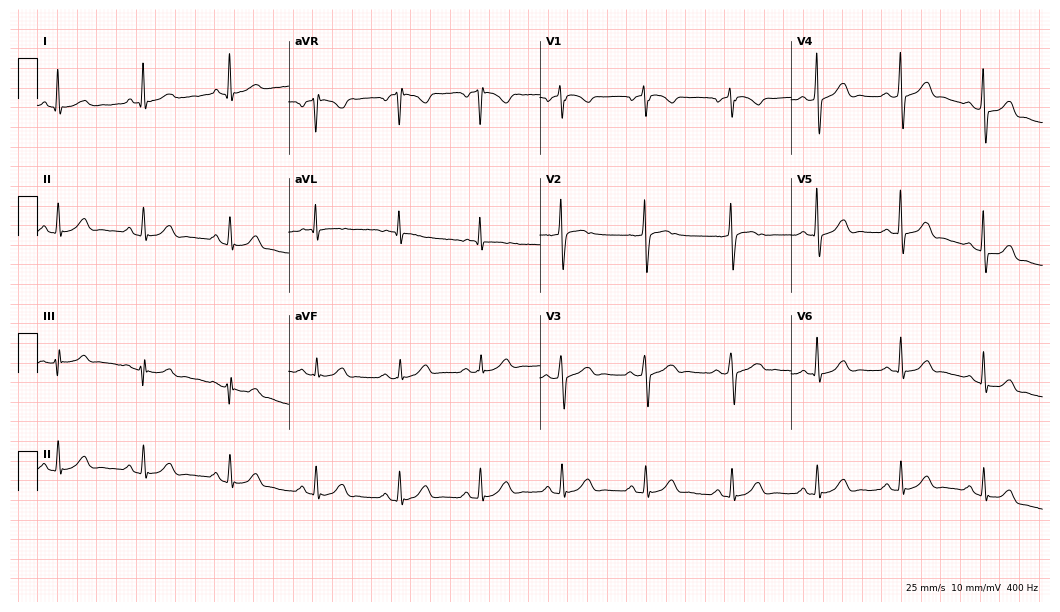
12-lead ECG (10.2-second recording at 400 Hz) from a 55-year-old man. Labelled as a normal ECG.